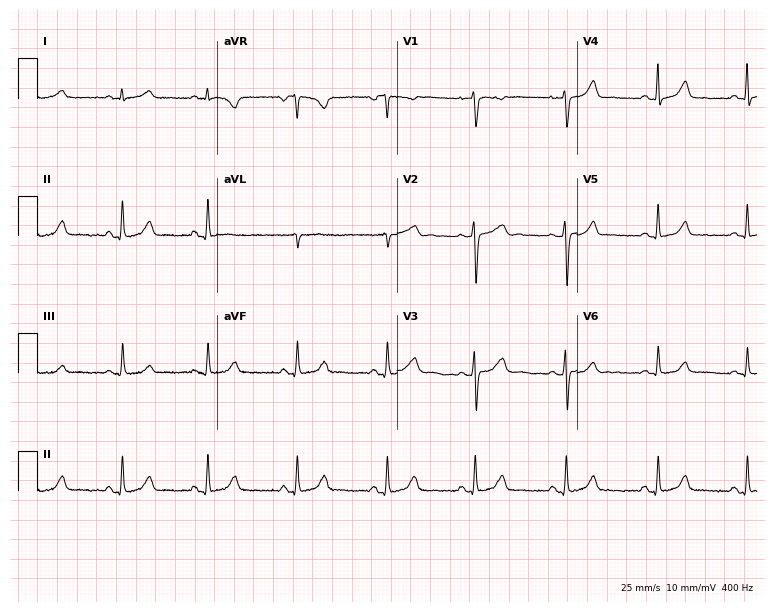
12-lead ECG from a female, 26 years old. Labelled as a normal ECG.